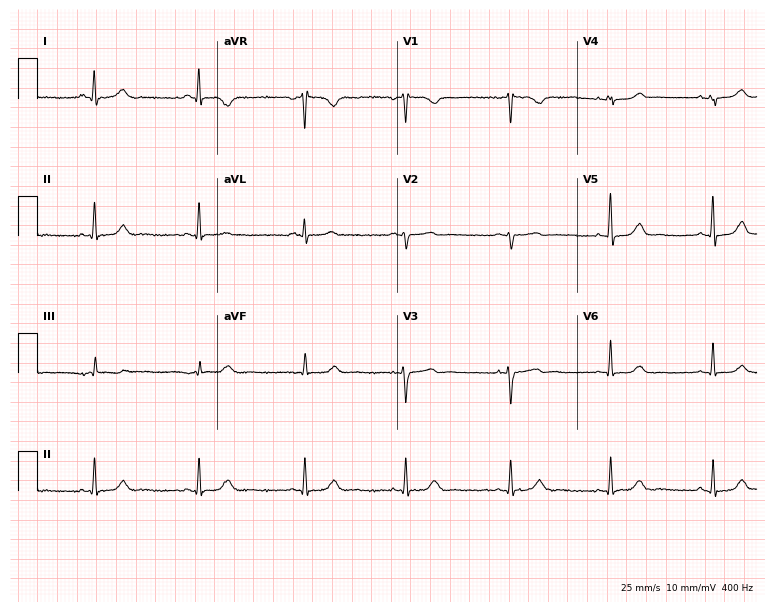
ECG — a woman, 52 years old. Screened for six findings — first-degree AV block, right bundle branch block, left bundle branch block, sinus bradycardia, atrial fibrillation, sinus tachycardia — none is recorded. Findings outside these six are not listed.